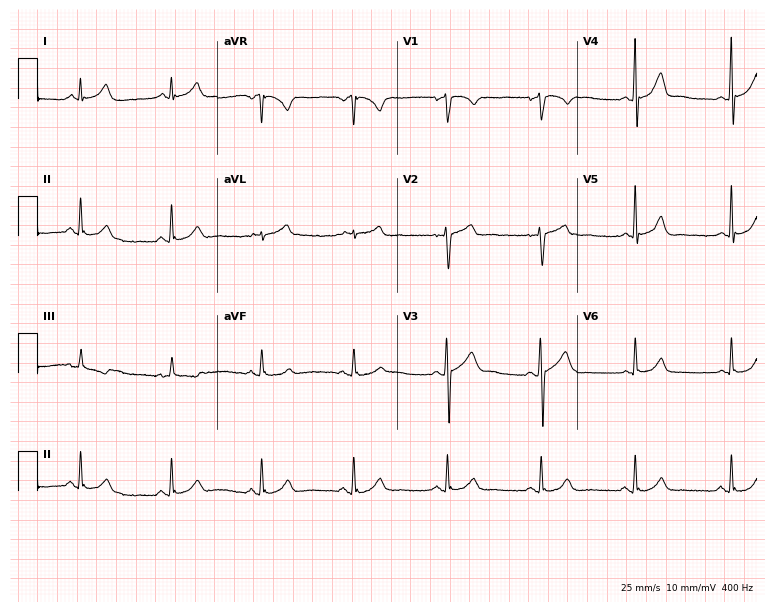
12-lead ECG (7.3-second recording at 400 Hz) from a male, 52 years old. Labelled as a normal ECG.